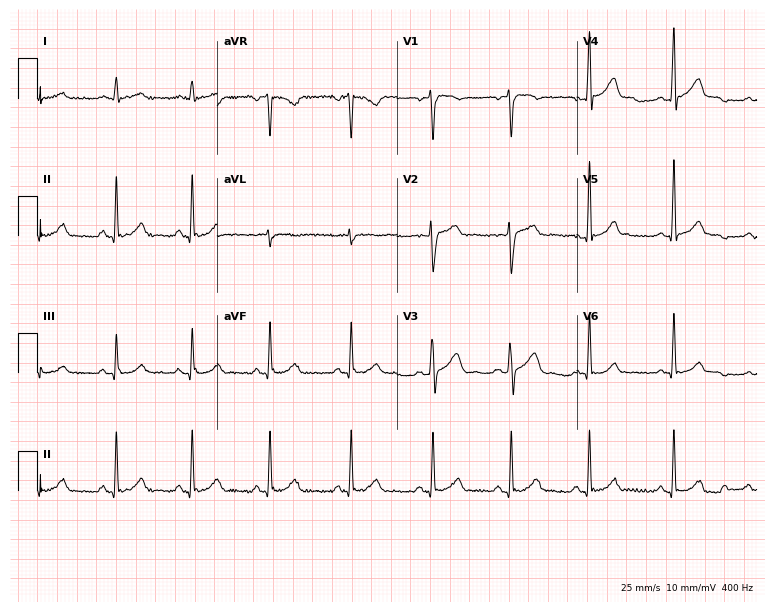
Electrocardiogram, a 27-year-old male. Overall reading on record: normal ECG.